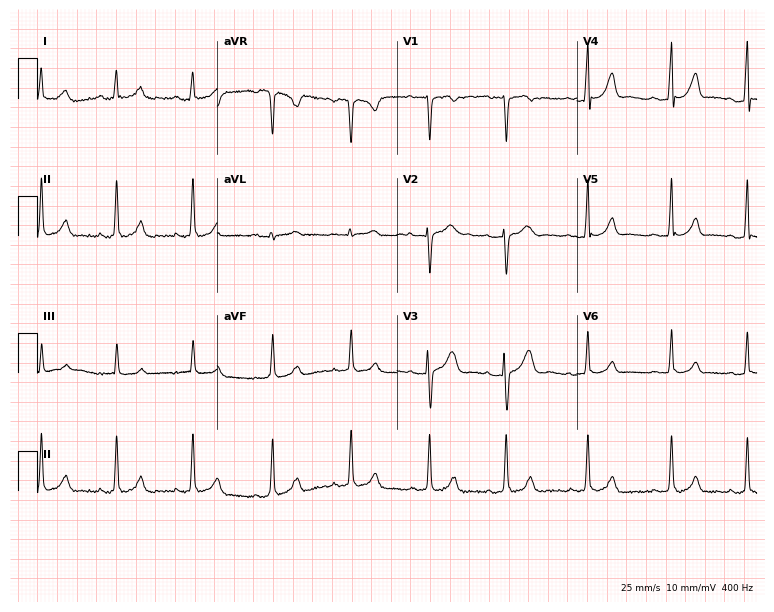
12-lead ECG (7.3-second recording at 400 Hz) from a female patient, 19 years old. Screened for six findings — first-degree AV block, right bundle branch block (RBBB), left bundle branch block (LBBB), sinus bradycardia, atrial fibrillation (AF), sinus tachycardia — none is recorded.